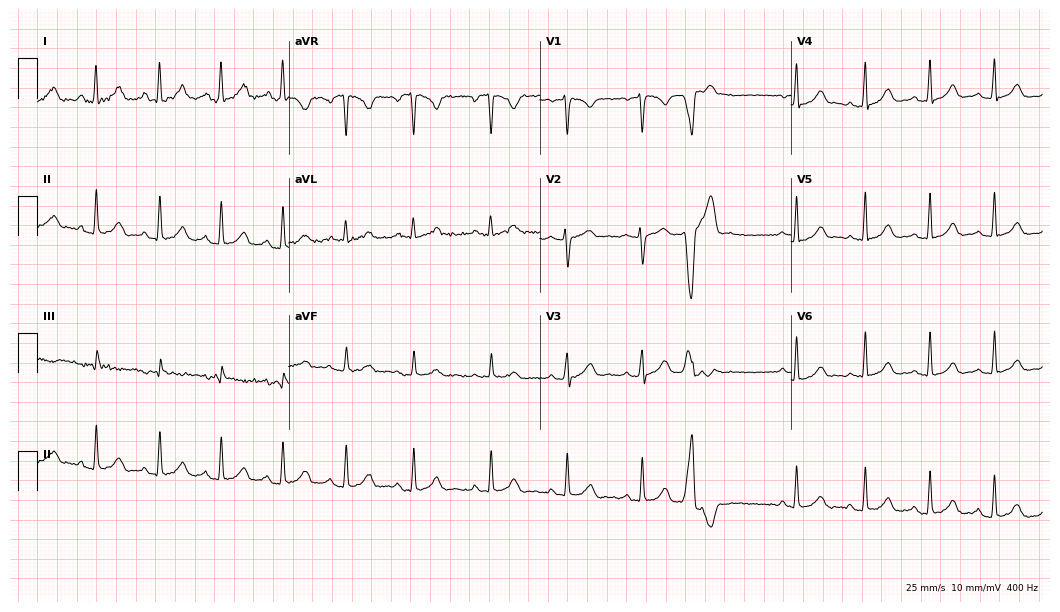
Standard 12-lead ECG recorded from a woman, 19 years old (10.2-second recording at 400 Hz). None of these six findings is recorded: first-degree AV block, right bundle branch block, left bundle branch block, sinus bradycardia, atrial fibrillation, sinus tachycardia. Other findings, if any, are not listed.